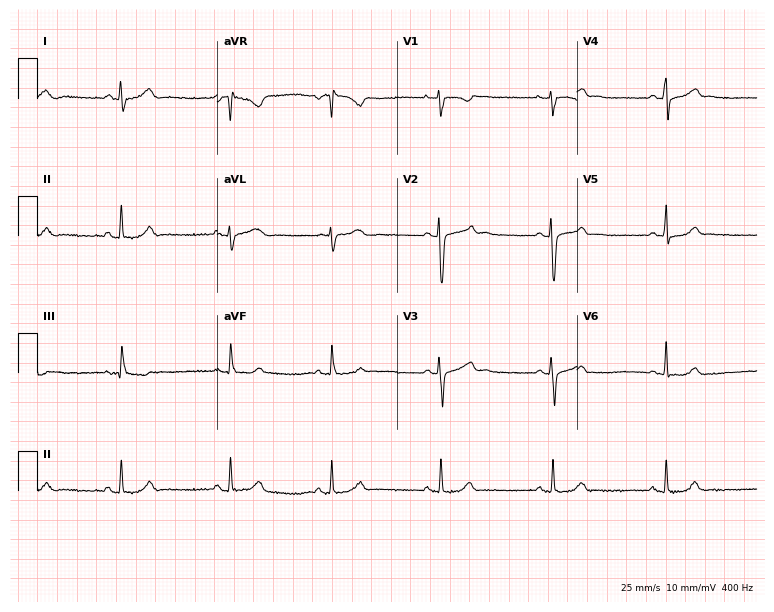
Resting 12-lead electrocardiogram (7.3-second recording at 400 Hz). Patient: a 24-year-old woman. None of these six findings is recorded: first-degree AV block, right bundle branch block, left bundle branch block, sinus bradycardia, atrial fibrillation, sinus tachycardia. Other findings, if any, are not listed.